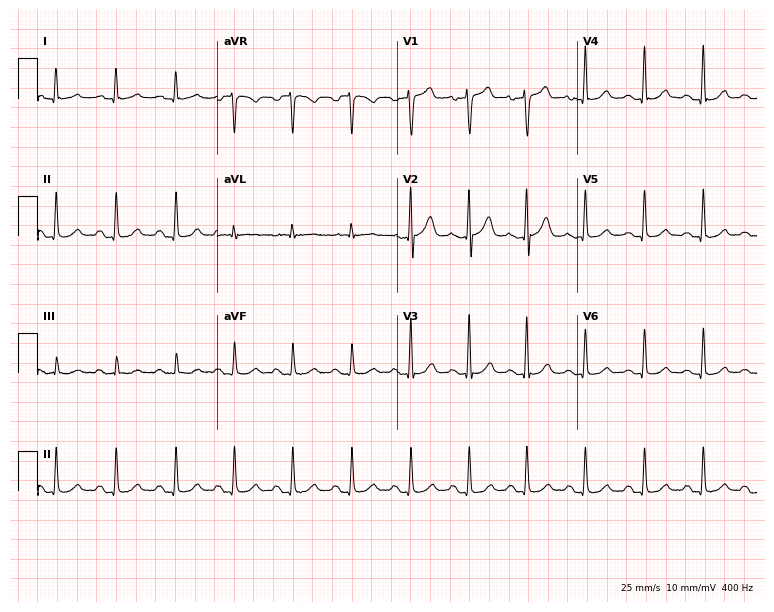
12-lead ECG from a male patient, 37 years old. No first-degree AV block, right bundle branch block, left bundle branch block, sinus bradycardia, atrial fibrillation or sinus tachycardia recorded for this tracing. Findings outside these six are not listed.